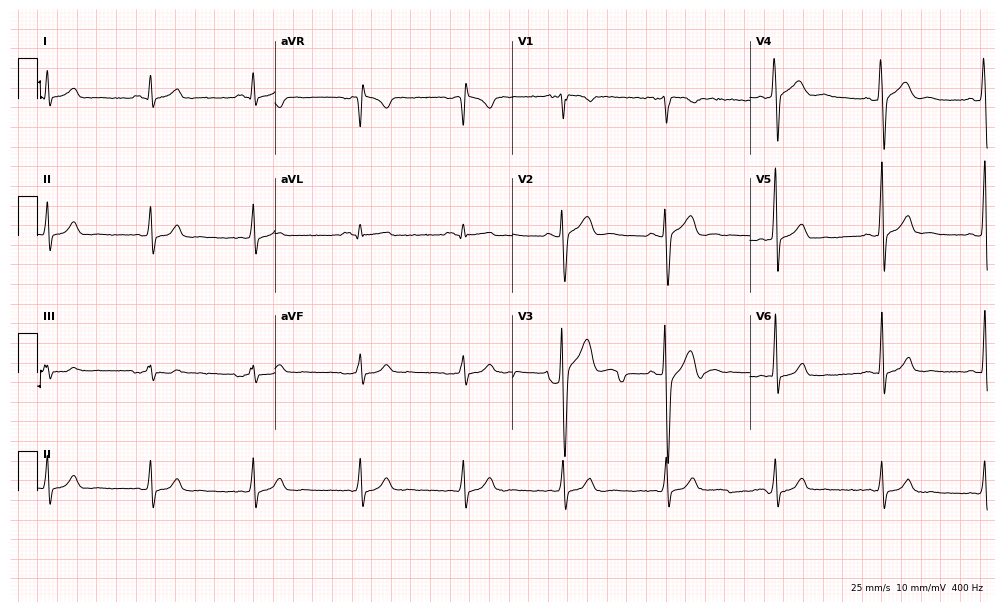
Electrocardiogram (9.7-second recording at 400 Hz), a man, 32 years old. Of the six screened findings (first-degree AV block, right bundle branch block, left bundle branch block, sinus bradycardia, atrial fibrillation, sinus tachycardia), none is recorded. Only these six findings were labelled.